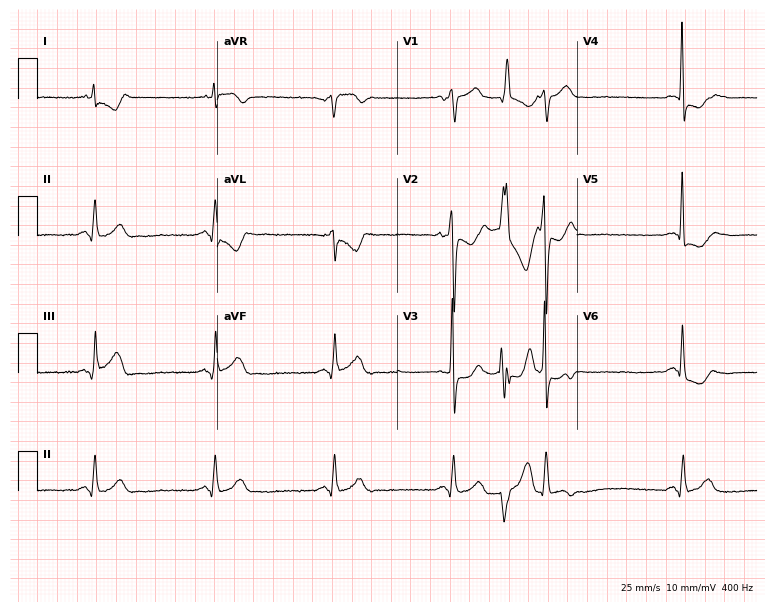
Electrocardiogram, a male patient, 52 years old. Interpretation includes sinus bradycardia (a sinus rate of 50 beats per minute or less).